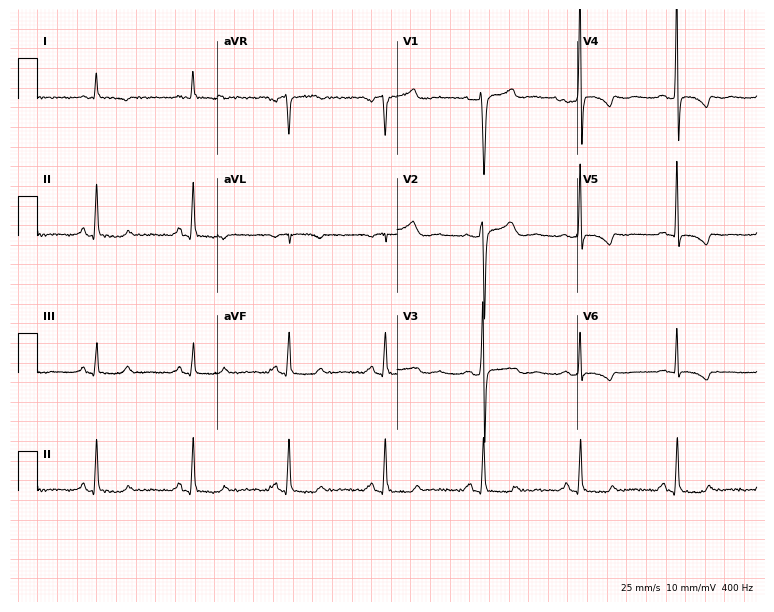
12-lead ECG from a 48-year-old male patient (7.3-second recording at 400 Hz). No first-degree AV block, right bundle branch block (RBBB), left bundle branch block (LBBB), sinus bradycardia, atrial fibrillation (AF) or sinus tachycardia recorded for this tracing.